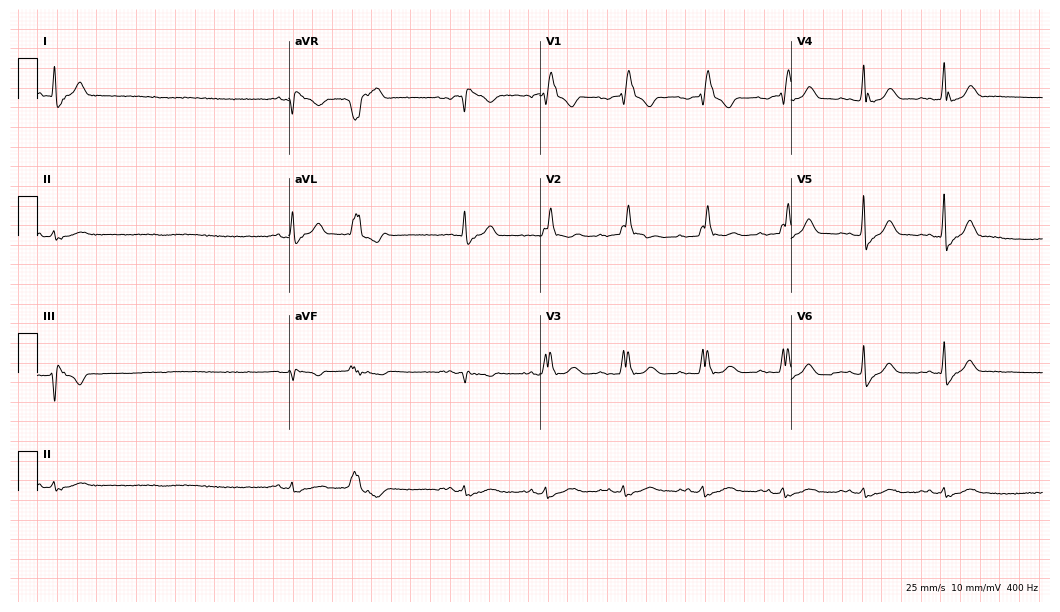
Standard 12-lead ECG recorded from a male, 75 years old (10.2-second recording at 400 Hz). None of these six findings is recorded: first-degree AV block, right bundle branch block, left bundle branch block, sinus bradycardia, atrial fibrillation, sinus tachycardia. Other findings, if any, are not listed.